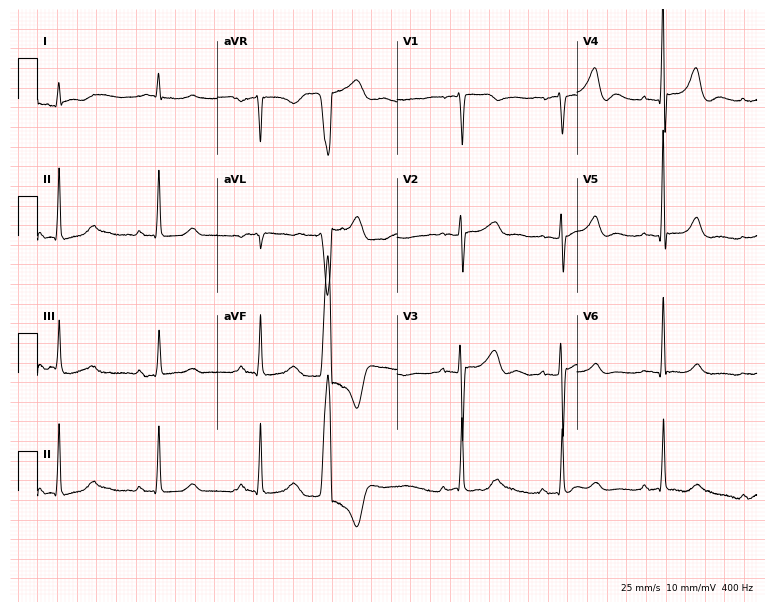
Resting 12-lead electrocardiogram. Patient: an 86-year-old male. None of these six findings is recorded: first-degree AV block, right bundle branch block, left bundle branch block, sinus bradycardia, atrial fibrillation, sinus tachycardia.